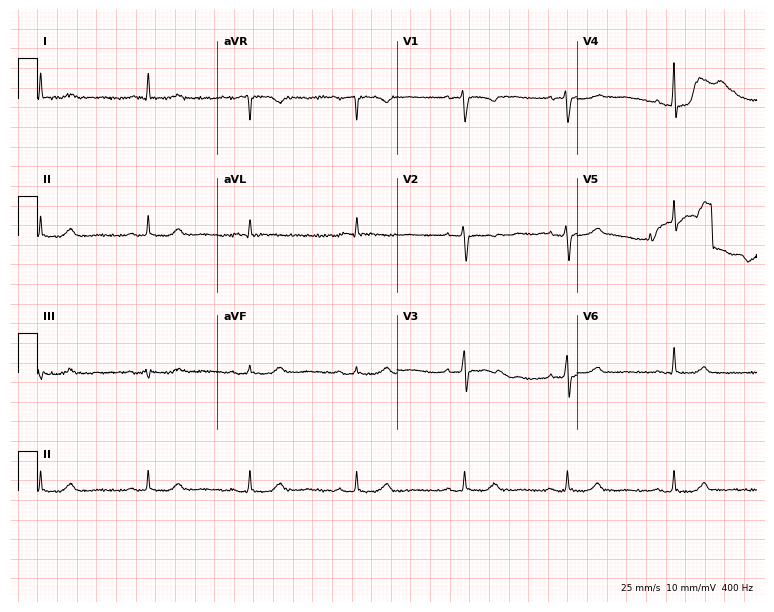
ECG — a woman, 62 years old. Screened for six findings — first-degree AV block, right bundle branch block, left bundle branch block, sinus bradycardia, atrial fibrillation, sinus tachycardia — none is recorded. Other findings, if any, are not listed.